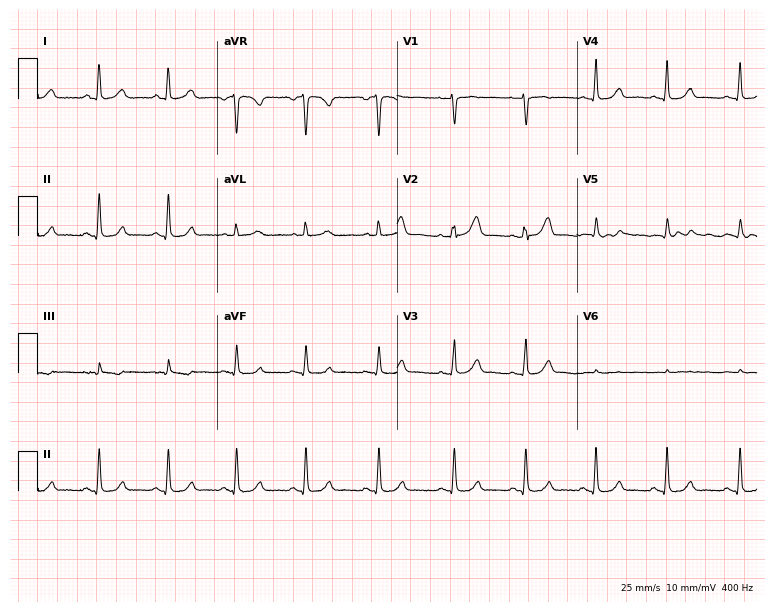
Electrocardiogram, a 40-year-old woman. Overall reading on record: normal ECG.